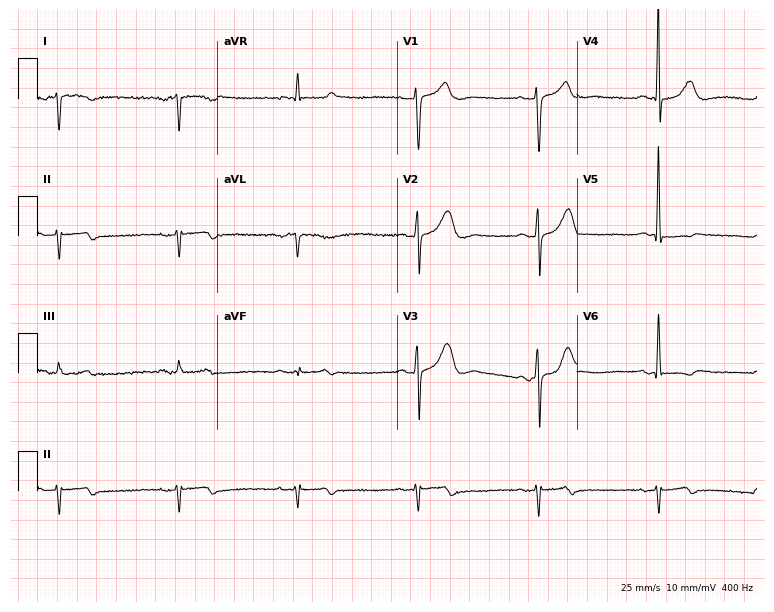
ECG — an 84-year-old male. Screened for six findings — first-degree AV block, right bundle branch block, left bundle branch block, sinus bradycardia, atrial fibrillation, sinus tachycardia — none is recorded. Only these six findings were labelled.